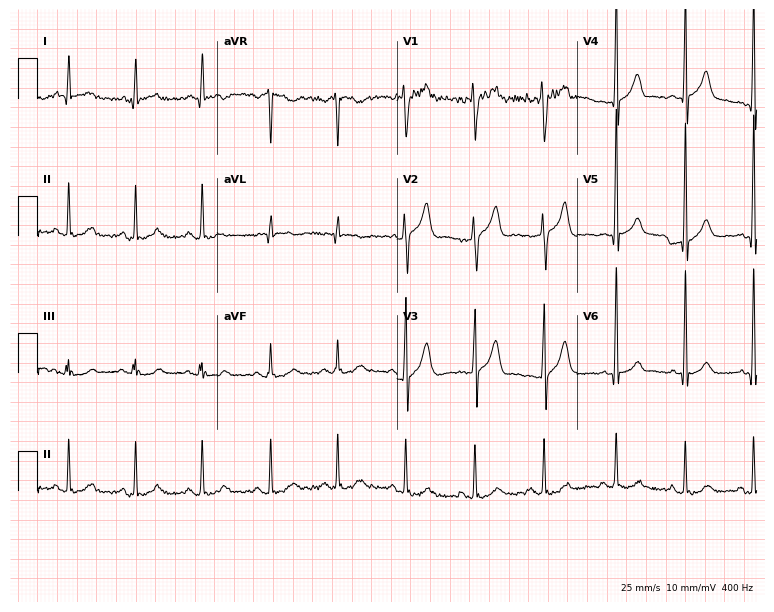
12-lead ECG (7.3-second recording at 400 Hz) from a 45-year-old man. Screened for six findings — first-degree AV block, right bundle branch block, left bundle branch block, sinus bradycardia, atrial fibrillation, sinus tachycardia — none is recorded.